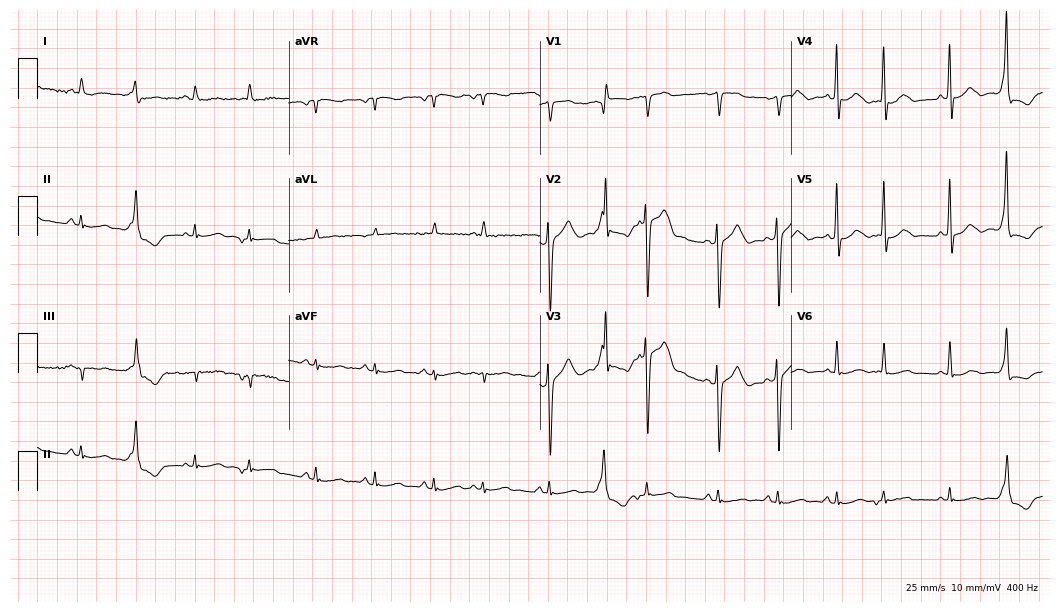
Resting 12-lead electrocardiogram (10.2-second recording at 400 Hz). Patient: a male, 83 years old. None of these six findings is recorded: first-degree AV block, right bundle branch block, left bundle branch block, sinus bradycardia, atrial fibrillation, sinus tachycardia. Only these six findings were labelled.